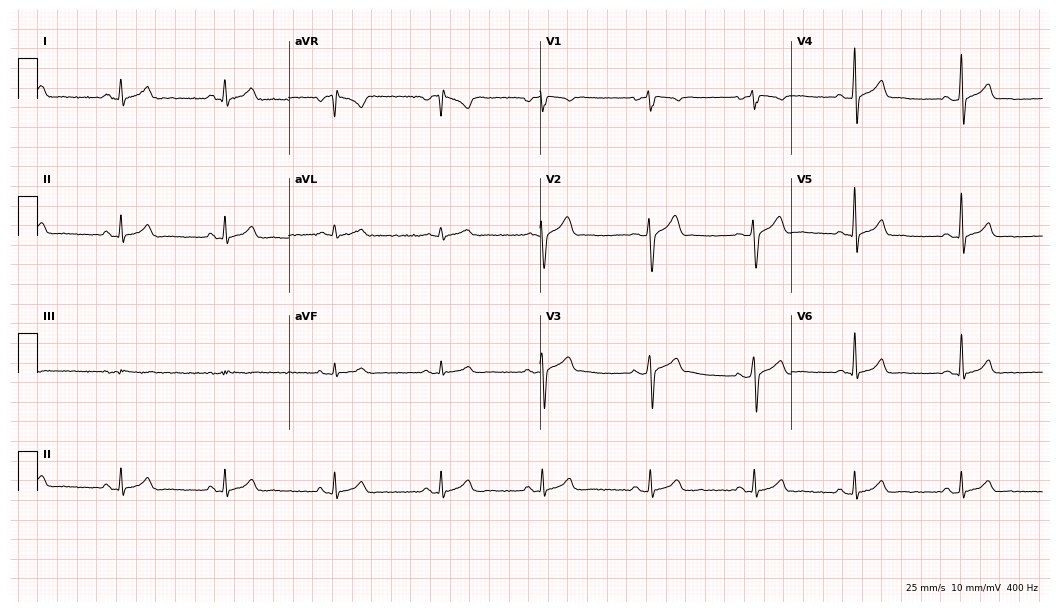
Resting 12-lead electrocardiogram. Patient: a man, 35 years old. Read as a normal ECG.